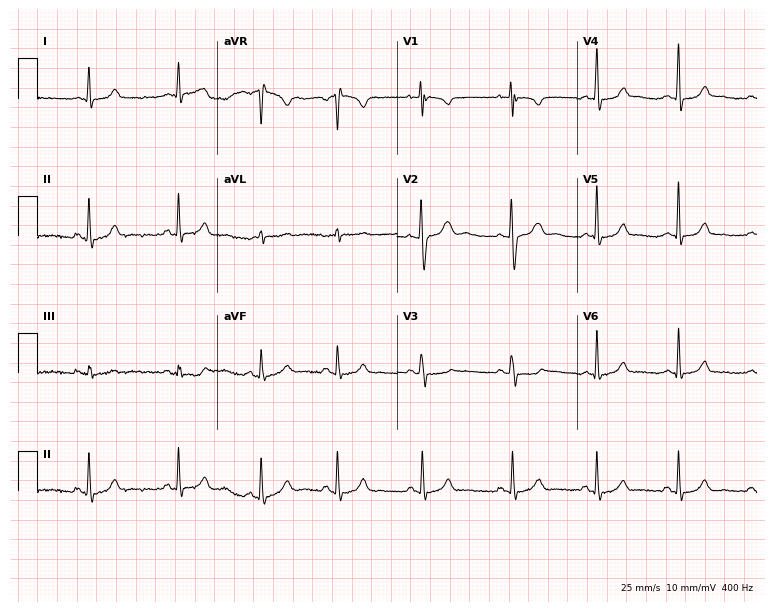
Electrocardiogram, a female patient, 18 years old. Of the six screened findings (first-degree AV block, right bundle branch block, left bundle branch block, sinus bradycardia, atrial fibrillation, sinus tachycardia), none is recorded. Only these six findings were labelled.